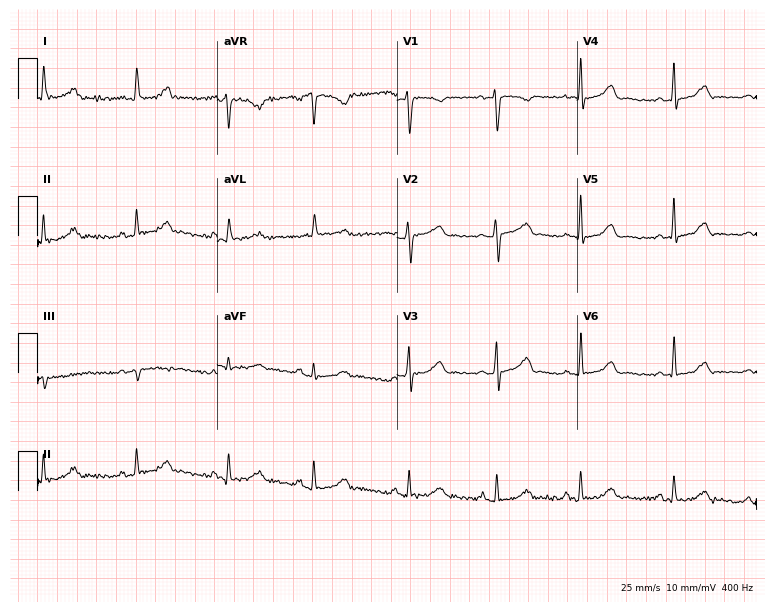
ECG (7.3-second recording at 400 Hz) — a 31-year-old female patient. Screened for six findings — first-degree AV block, right bundle branch block, left bundle branch block, sinus bradycardia, atrial fibrillation, sinus tachycardia — none is recorded. Findings outside these six are not listed.